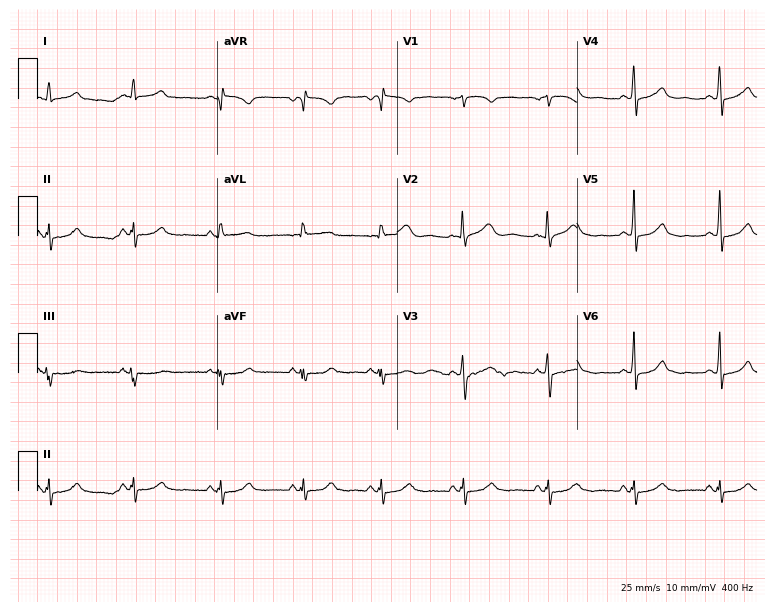
12-lead ECG from a female, 42 years old (7.3-second recording at 400 Hz). No first-degree AV block, right bundle branch block, left bundle branch block, sinus bradycardia, atrial fibrillation or sinus tachycardia recorded for this tracing. Other findings, if any, are not listed.